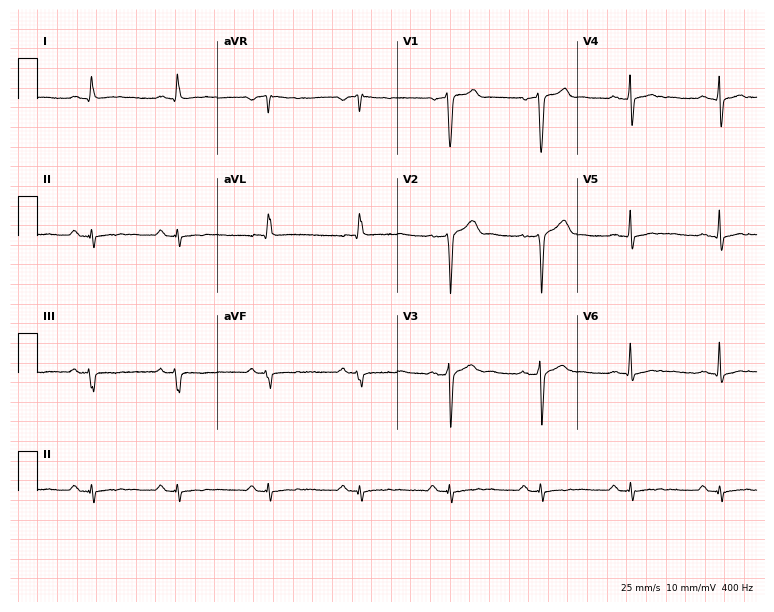
ECG — a 55-year-old man. Screened for six findings — first-degree AV block, right bundle branch block, left bundle branch block, sinus bradycardia, atrial fibrillation, sinus tachycardia — none is recorded. Only these six findings were labelled.